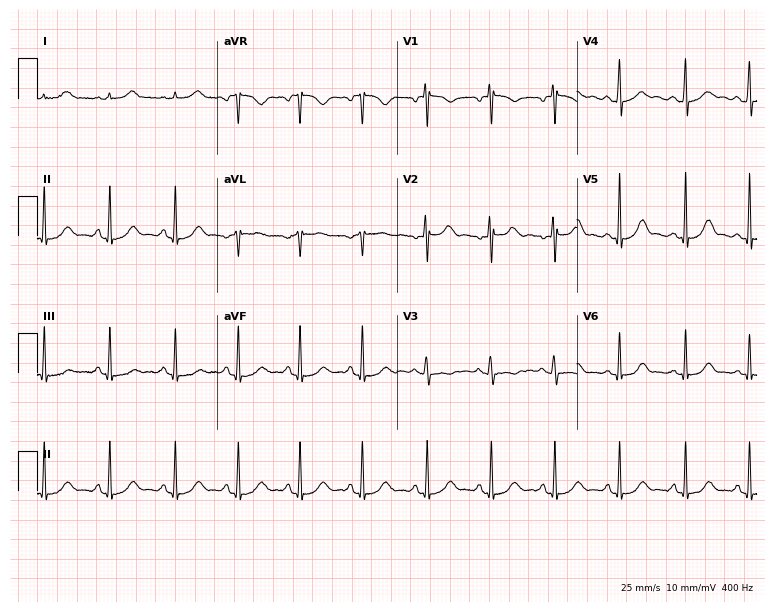
Standard 12-lead ECG recorded from a 25-year-old female (7.3-second recording at 400 Hz). Read as a normal ECG.